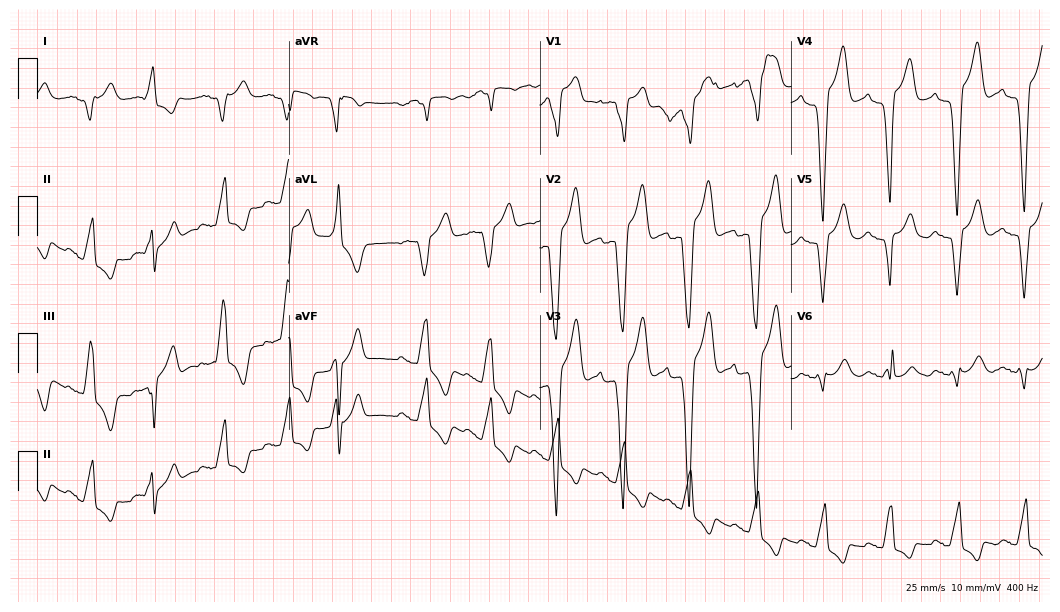
12-lead ECG from a male, 82 years old. No first-degree AV block, right bundle branch block (RBBB), left bundle branch block (LBBB), sinus bradycardia, atrial fibrillation (AF) or sinus tachycardia recorded for this tracing. Other findings, if any, are not listed.